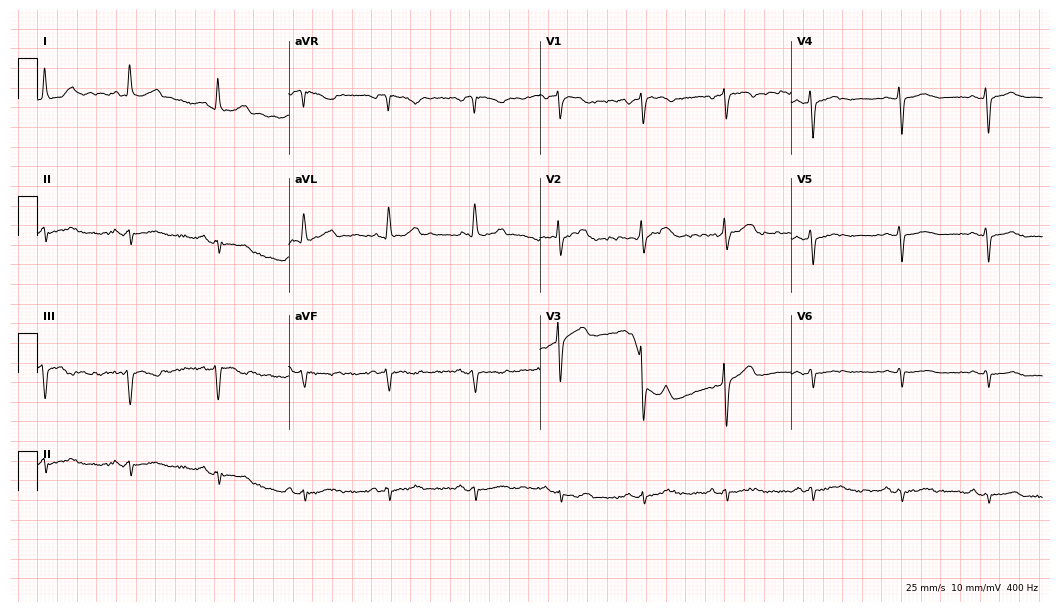
Electrocardiogram (10.2-second recording at 400 Hz), a 62-year-old female. Of the six screened findings (first-degree AV block, right bundle branch block, left bundle branch block, sinus bradycardia, atrial fibrillation, sinus tachycardia), none is recorded.